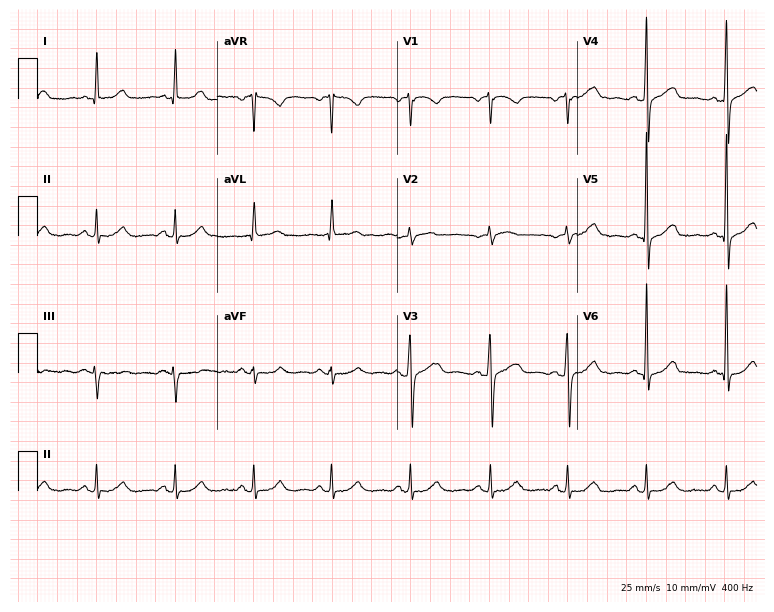
Standard 12-lead ECG recorded from a 57-year-old man. None of these six findings is recorded: first-degree AV block, right bundle branch block (RBBB), left bundle branch block (LBBB), sinus bradycardia, atrial fibrillation (AF), sinus tachycardia. Other findings, if any, are not listed.